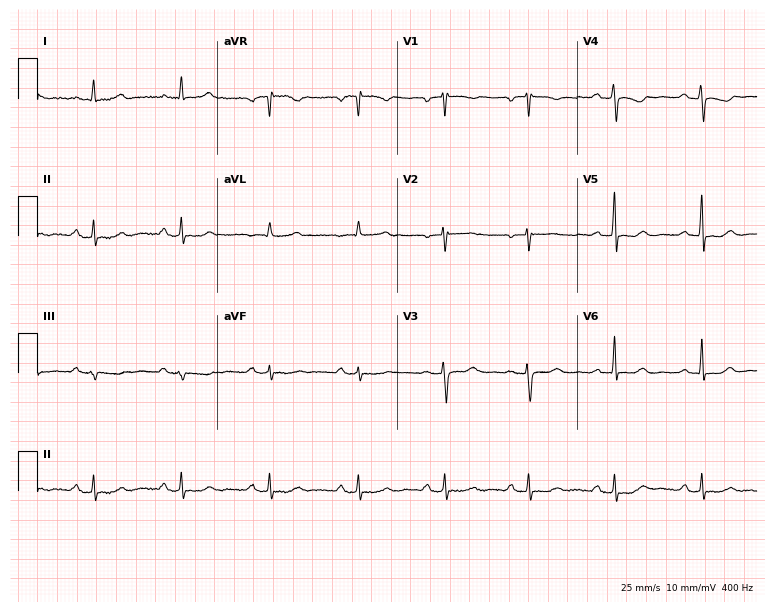
Resting 12-lead electrocardiogram (7.3-second recording at 400 Hz). Patient: a woman, 52 years old. None of these six findings is recorded: first-degree AV block, right bundle branch block, left bundle branch block, sinus bradycardia, atrial fibrillation, sinus tachycardia.